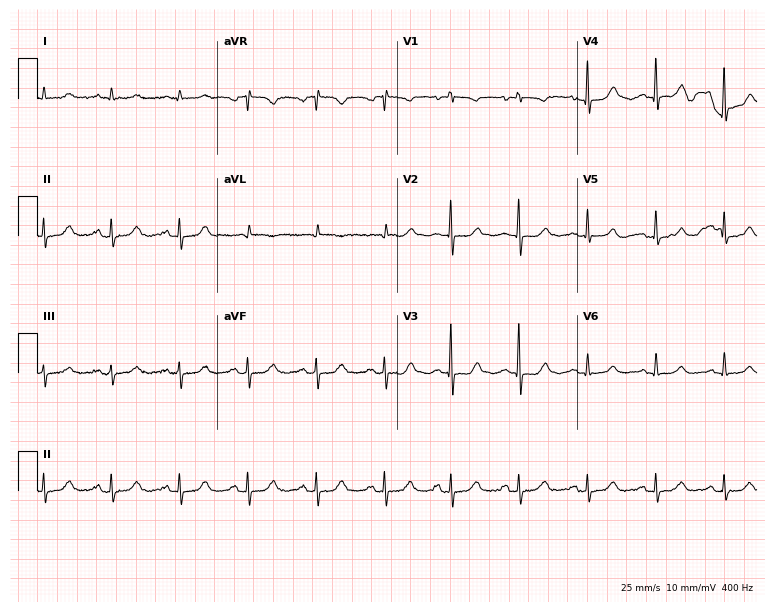
12-lead ECG from a 63-year-old female patient. Labelled as a normal ECG.